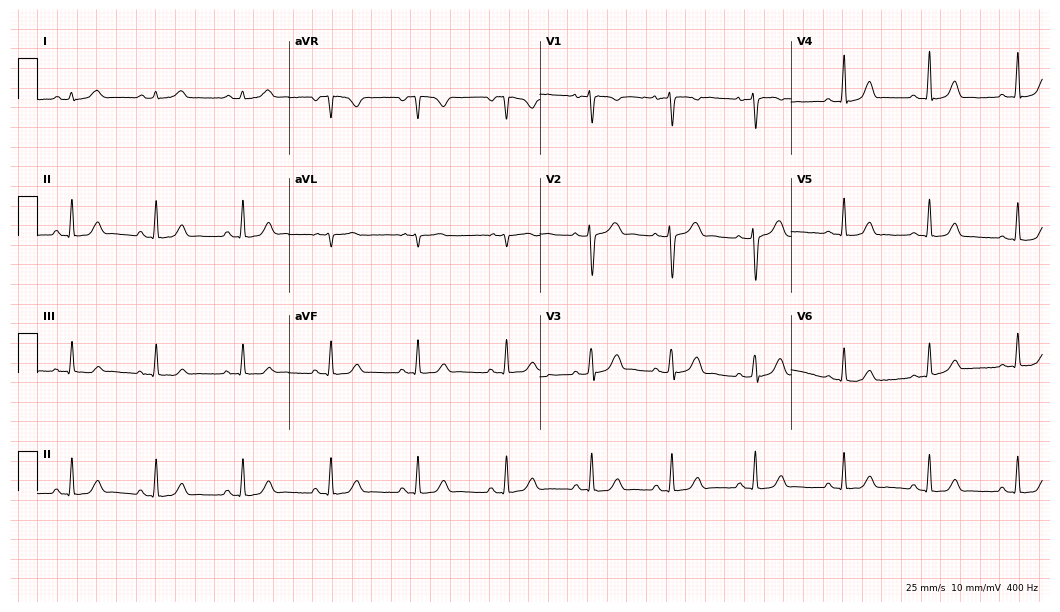
Electrocardiogram, a 21-year-old female. Overall reading on record: normal ECG.